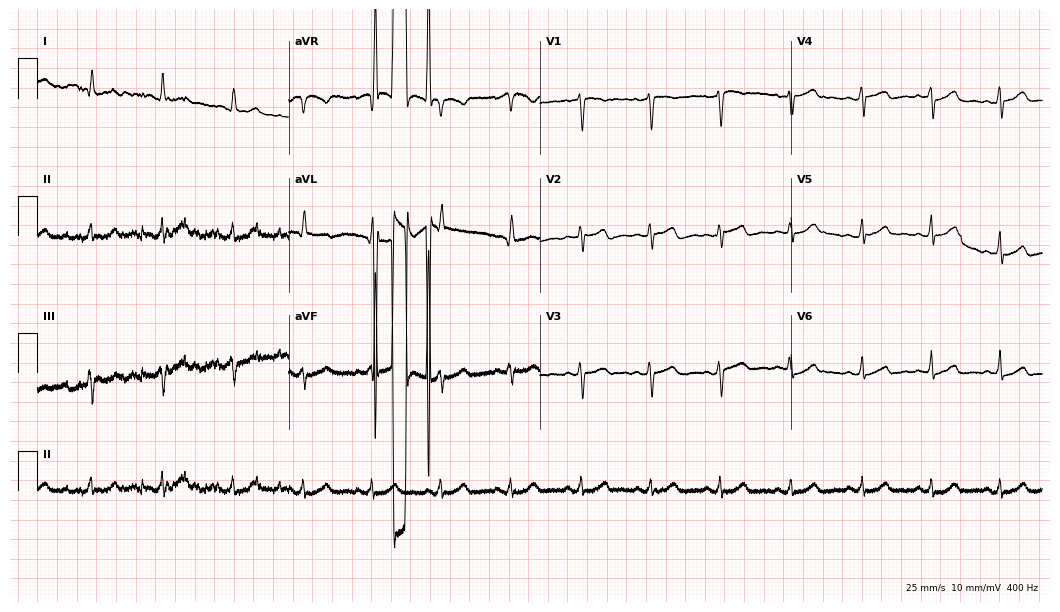
12-lead ECG from a female, 51 years old. No first-degree AV block, right bundle branch block, left bundle branch block, sinus bradycardia, atrial fibrillation or sinus tachycardia recorded for this tracing. Other findings, if any, are not listed.